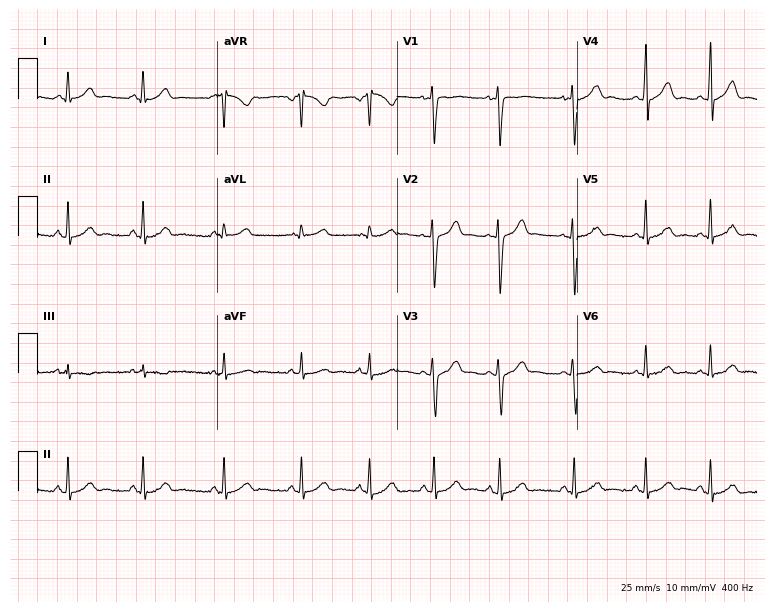
12-lead ECG from a woman, 26 years old. No first-degree AV block, right bundle branch block (RBBB), left bundle branch block (LBBB), sinus bradycardia, atrial fibrillation (AF) or sinus tachycardia recorded for this tracing. Only these six findings were labelled.